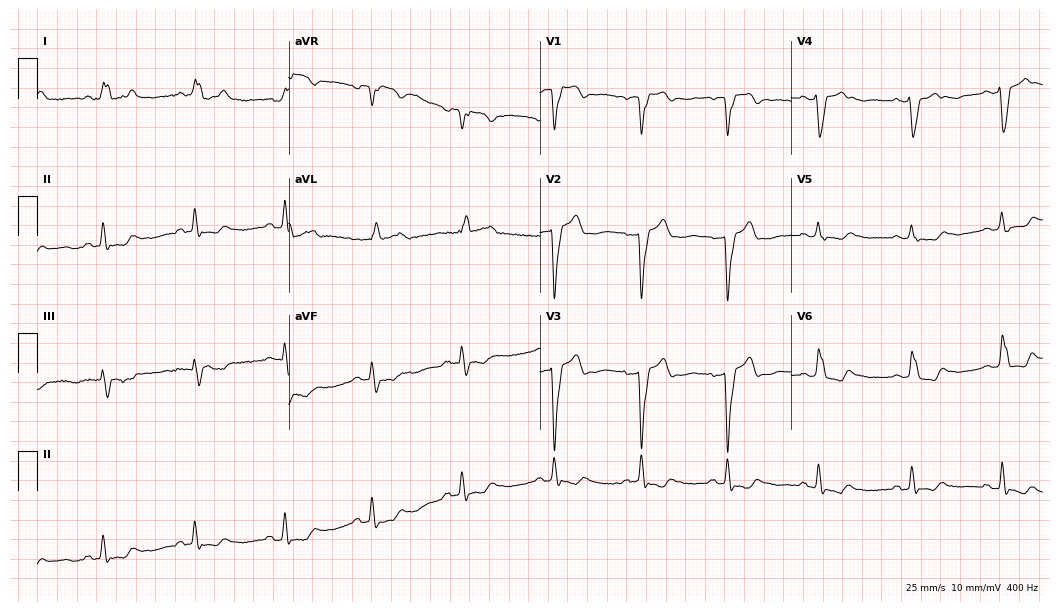
Resting 12-lead electrocardiogram. Patient: a 47-year-old female. None of these six findings is recorded: first-degree AV block, right bundle branch block (RBBB), left bundle branch block (LBBB), sinus bradycardia, atrial fibrillation (AF), sinus tachycardia. Findings outside these six are not listed.